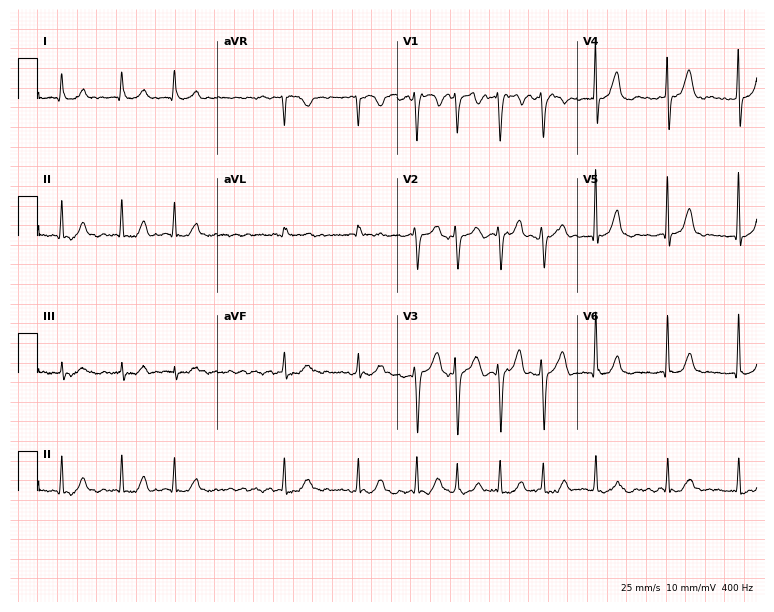
Standard 12-lead ECG recorded from a 57-year-old man. The tracing shows atrial fibrillation.